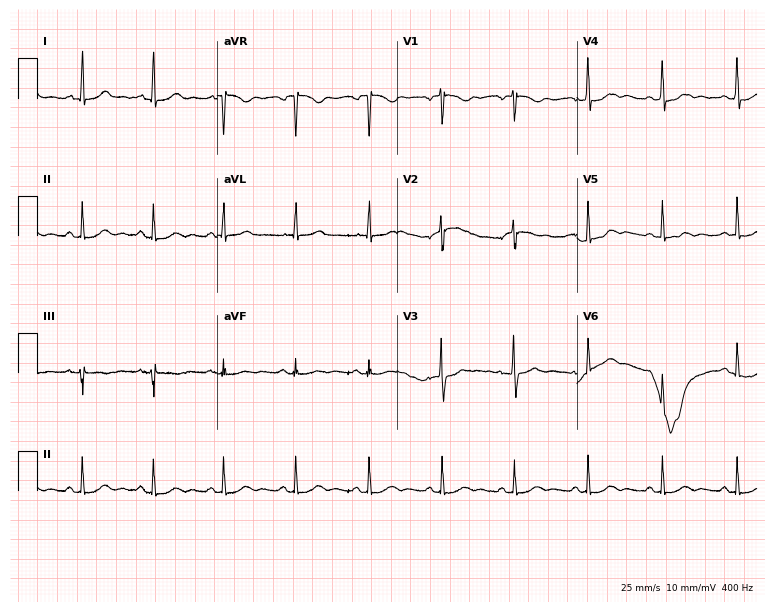
12-lead ECG (7.3-second recording at 400 Hz) from a woman, 50 years old. Screened for six findings — first-degree AV block, right bundle branch block, left bundle branch block, sinus bradycardia, atrial fibrillation, sinus tachycardia — none is recorded.